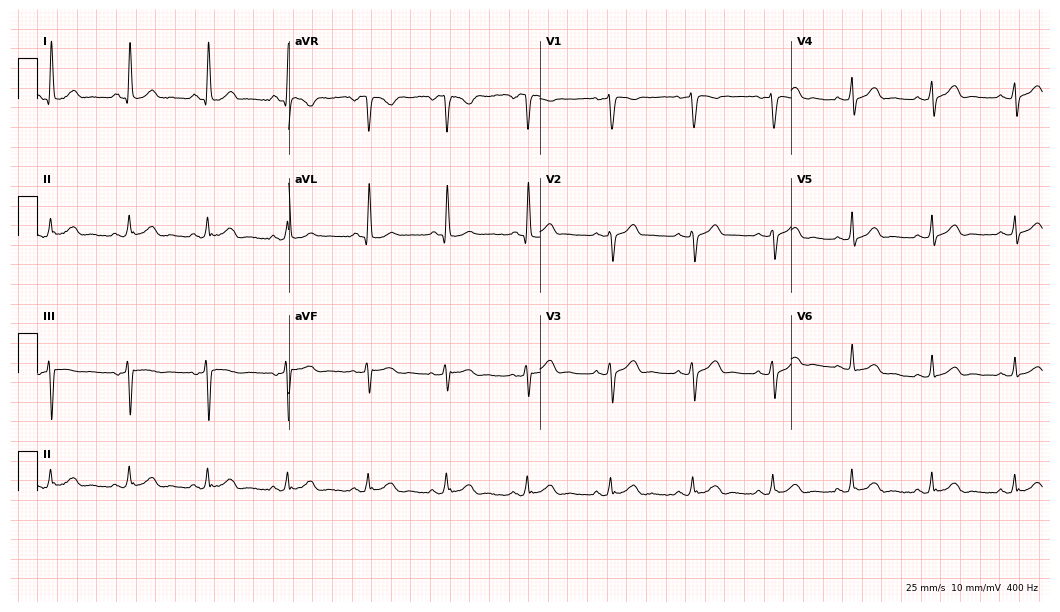
Electrocardiogram (10.2-second recording at 400 Hz), a 32-year-old female. Overall reading on record: normal ECG.